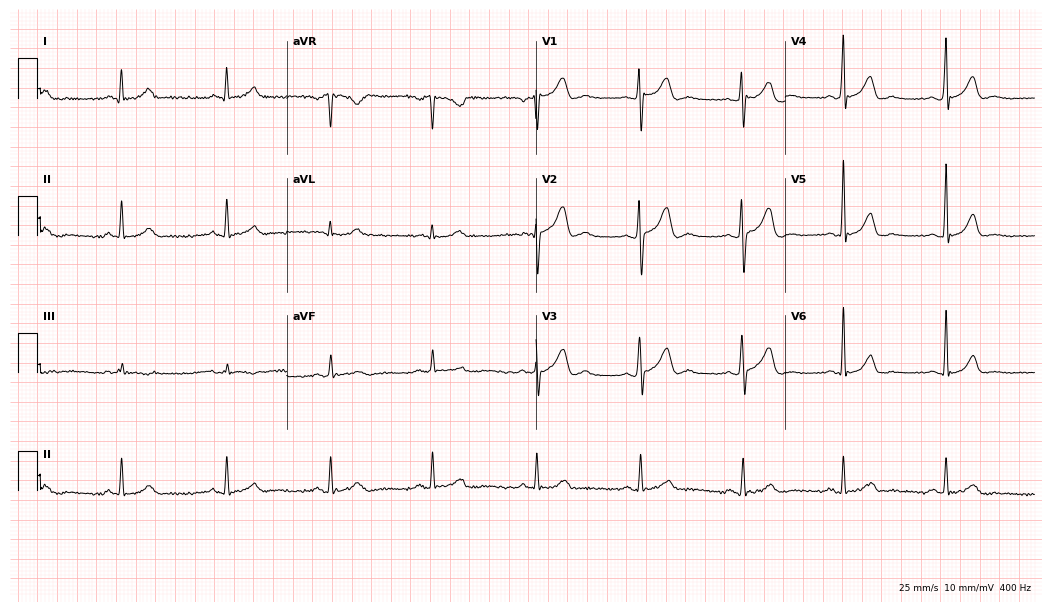
12-lead ECG from a male patient, 38 years old (10.2-second recording at 400 Hz). Recorded interpretation: within normal limits.